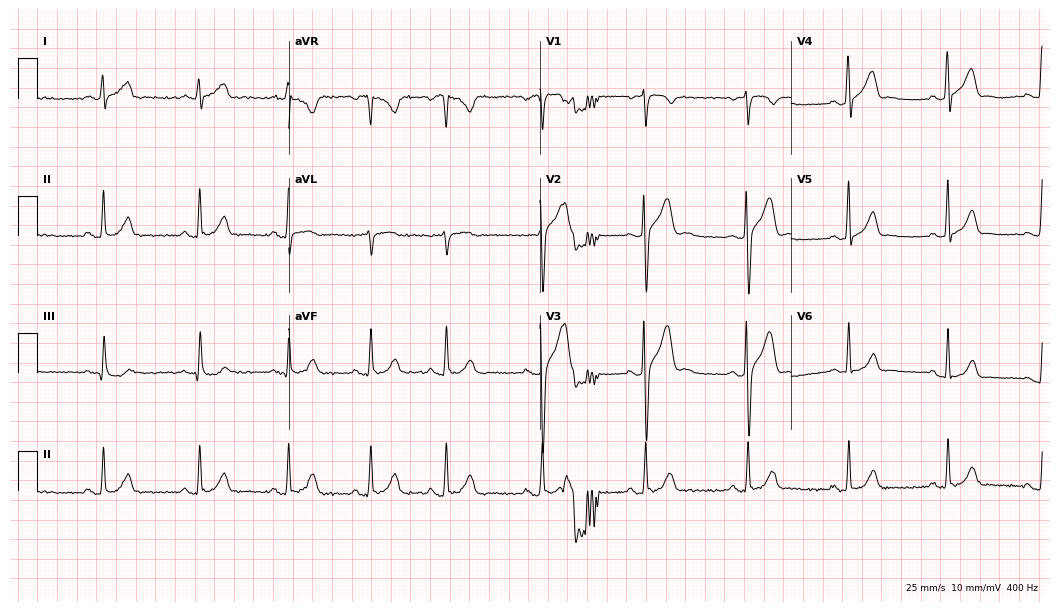
Standard 12-lead ECG recorded from a 26-year-old male patient. None of these six findings is recorded: first-degree AV block, right bundle branch block, left bundle branch block, sinus bradycardia, atrial fibrillation, sinus tachycardia. Only these six findings were labelled.